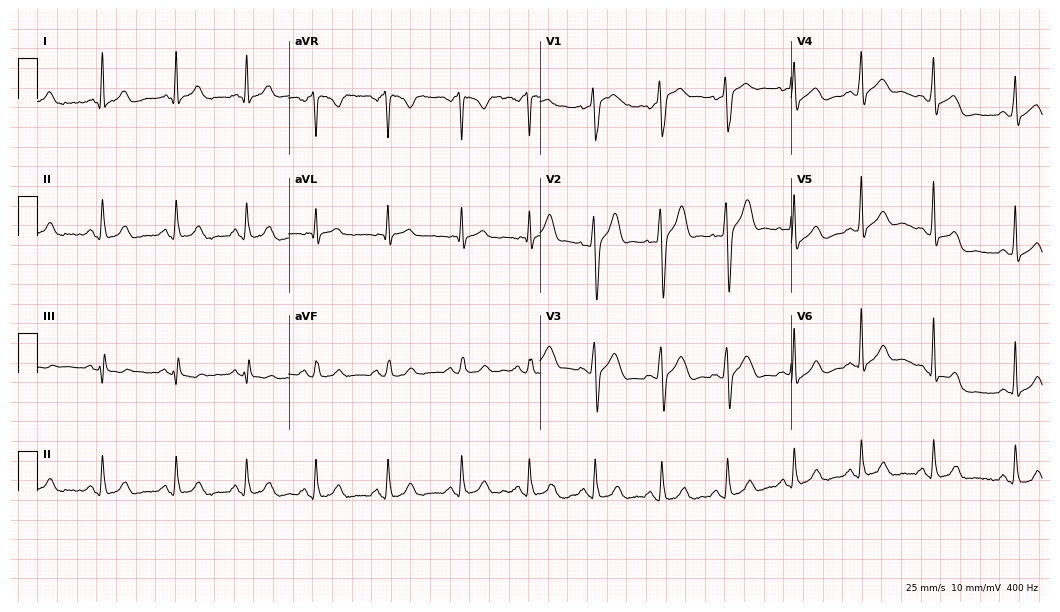
Standard 12-lead ECG recorded from a male patient, 25 years old. Read as a normal ECG.